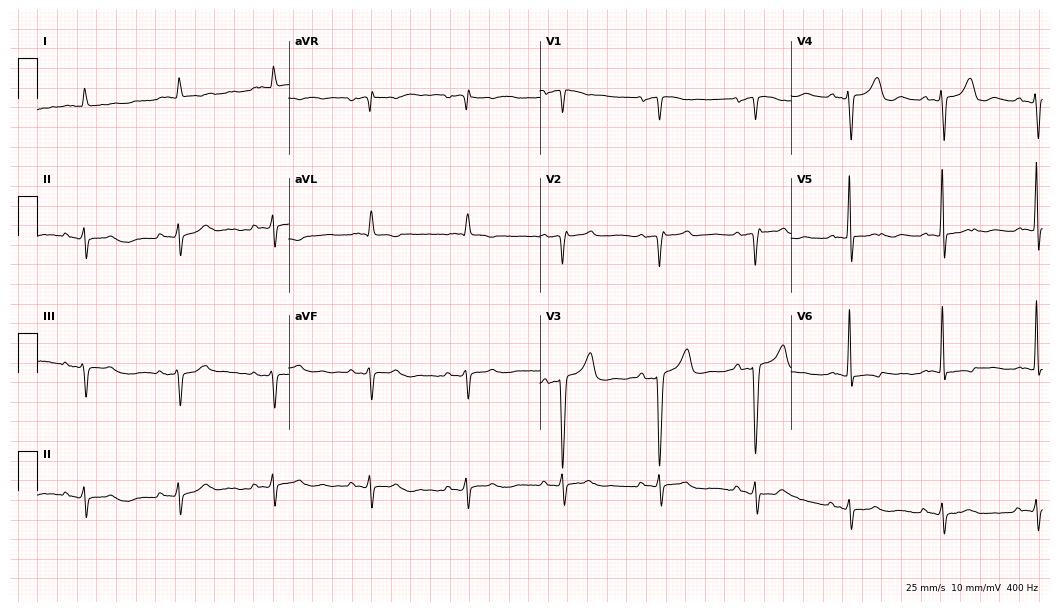
12-lead ECG from a 71-year-old female patient. No first-degree AV block, right bundle branch block, left bundle branch block, sinus bradycardia, atrial fibrillation or sinus tachycardia recorded for this tracing.